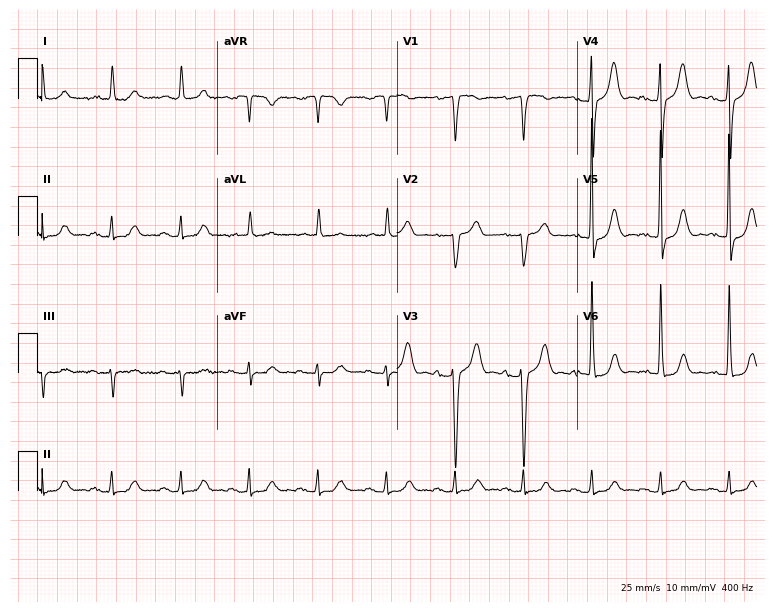
Resting 12-lead electrocardiogram. Patient: a female, 66 years old. None of these six findings is recorded: first-degree AV block, right bundle branch block, left bundle branch block, sinus bradycardia, atrial fibrillation, sinus tachycardia.